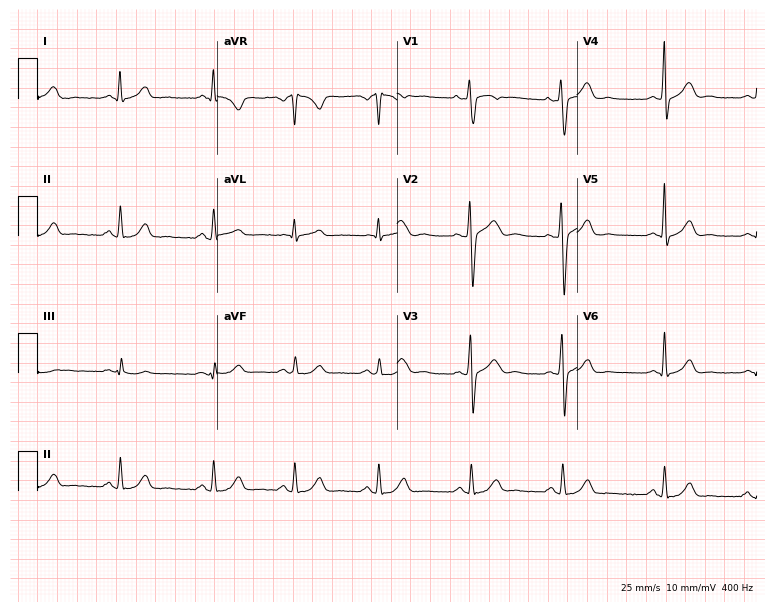
Standard 12-lead ECG recorded from a 26-year-old female (7.3-second recording at 400 Hz). None of these six findings is recorded: first-degree AV block, right bundle branch block, left bundle branch block, sinus bradycardia, atrial fibrillation, sinus tachycardia.